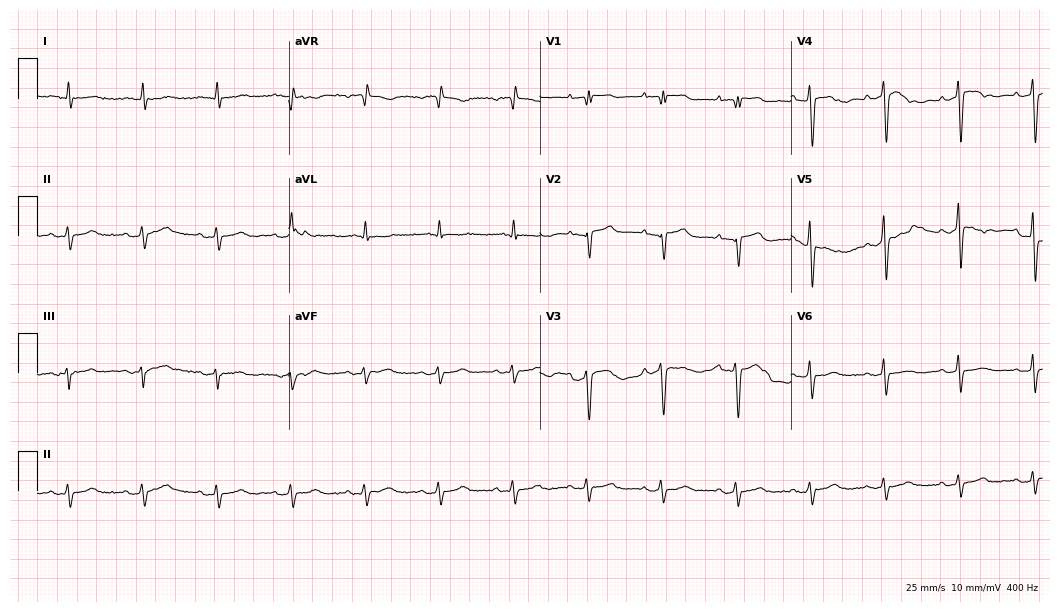
12-lead ECG (10.2-second recording at 400 Hz) from an 83-year-old male. Screened for six findings — first-degree AV block, right bundle branch block (RBBB), left bundle branch block (LBBB), sinus bradycardia, atrial fibrillation (AF), sinus tachycardia — none is recorded.